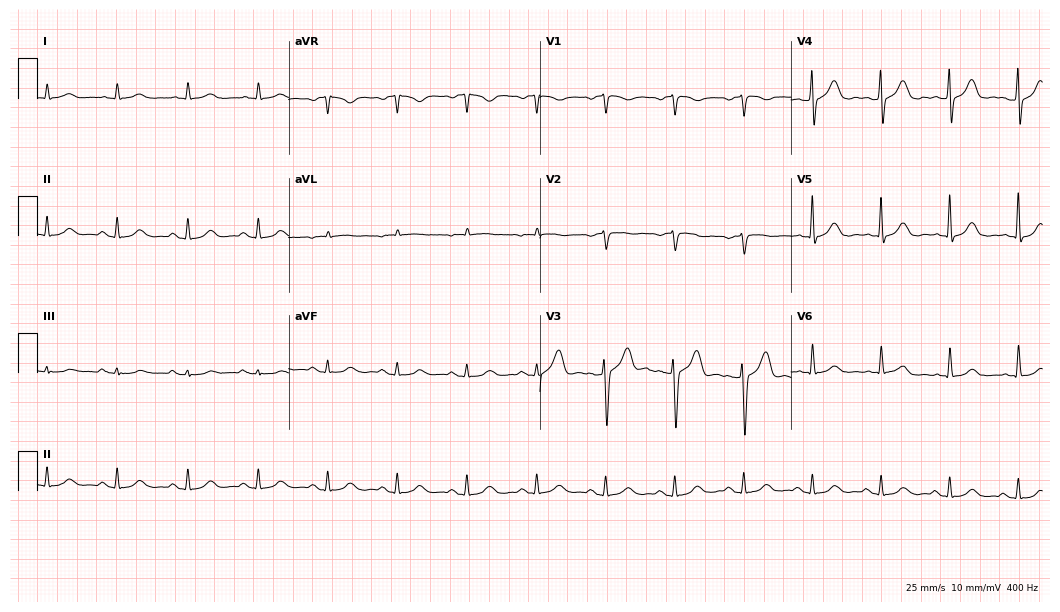
12-lead ECG from a male patient, 85 years old (10.2-second recording at 400 Hz). Recorded interpretation: within normal limits.